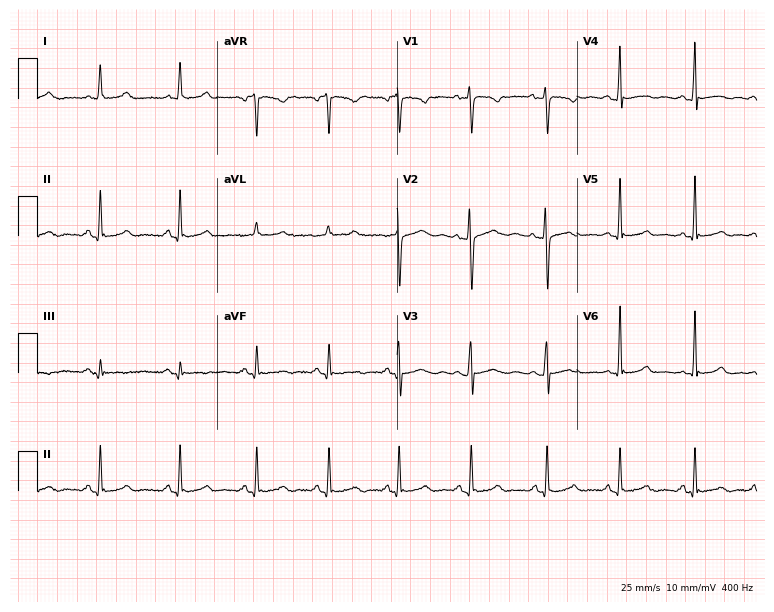
ECG (7.3-second recording at 400 Hz) — a 26-year-old female patient. Screened for six findings — first-degree AV block, right bundle branch block, left bundle branch block, sinus bradycardia, atrial fibrillation, sinus tachycardia — none is recorded. Other findings, if any, are not listed.